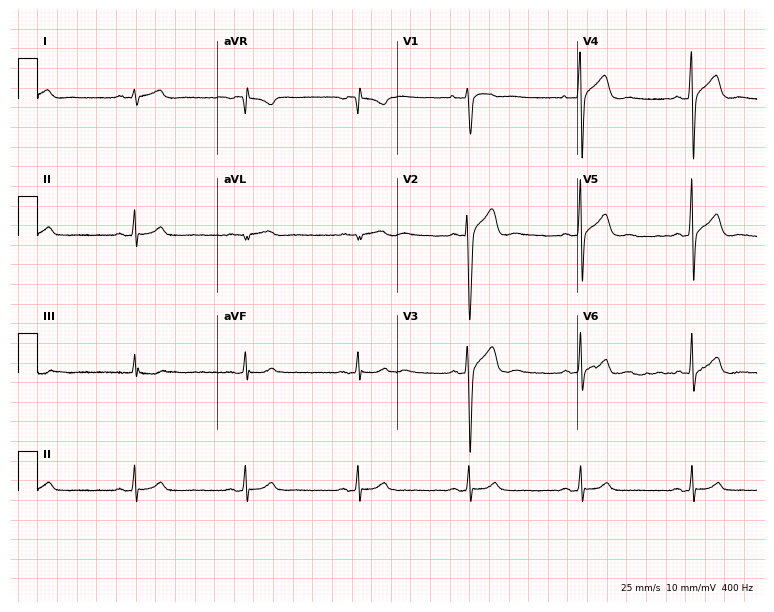
Resting 12-lead electrocardiogram. Patient: a 21-year-old male. Read as a normal ECG.